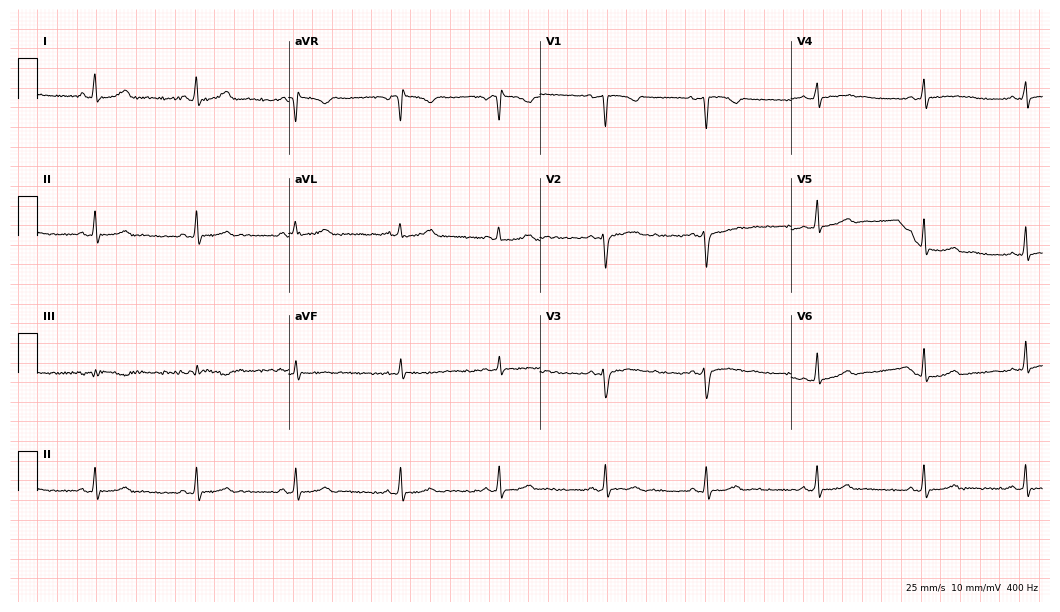
ECG (10.2-second recording at 400 Hz) — a woman, 20 years old. Screened for six findings — first-degree AV block, right bundle branch block (RBBB), left bundle branch block (LBBB), sinus bradycardia, atrial fibrillation (AF), sinus tachycardia — none is recorded.